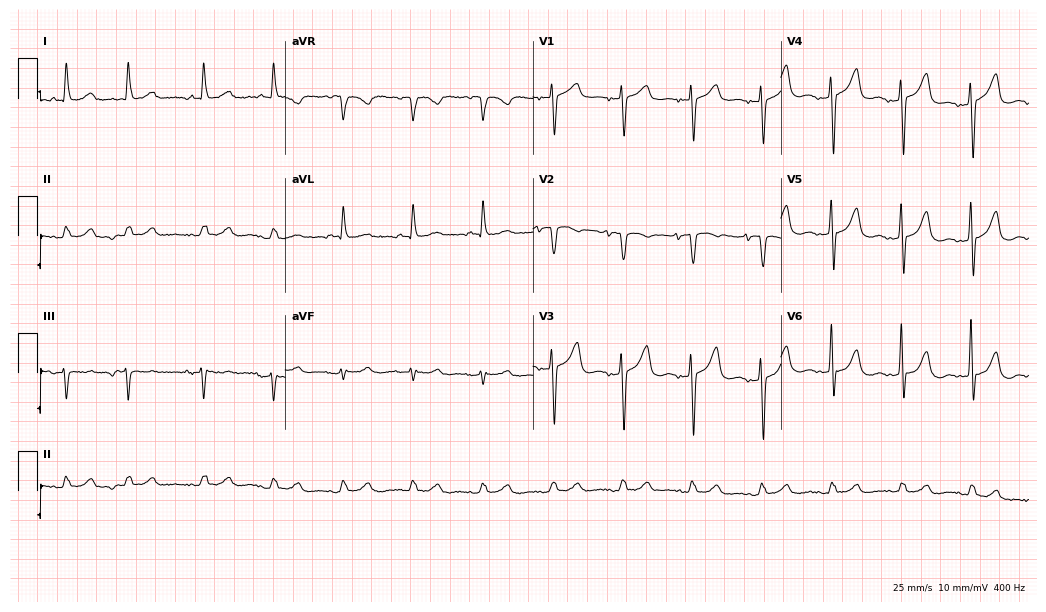
12-lead ECG from a 76-year-old man. No first-degree AV block, right bundle branch block, left bundle branch block, sinus bradycardia, atrial fibrillation or sinus tachycardia recorded for this tracing. Only these six findings were labelled.